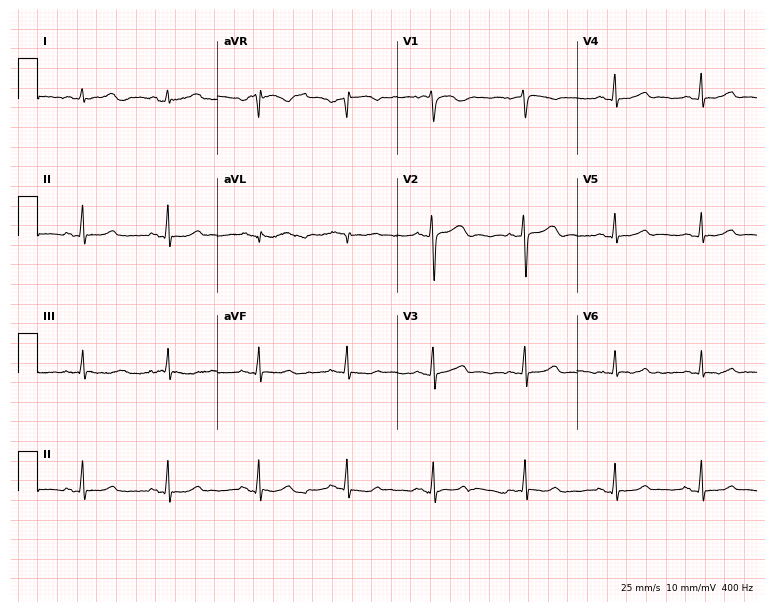
Standard 12-lead ECG recorded from a woman, 21 years old (7.3-second recording at 400 Hz). Read as a normal ECG.